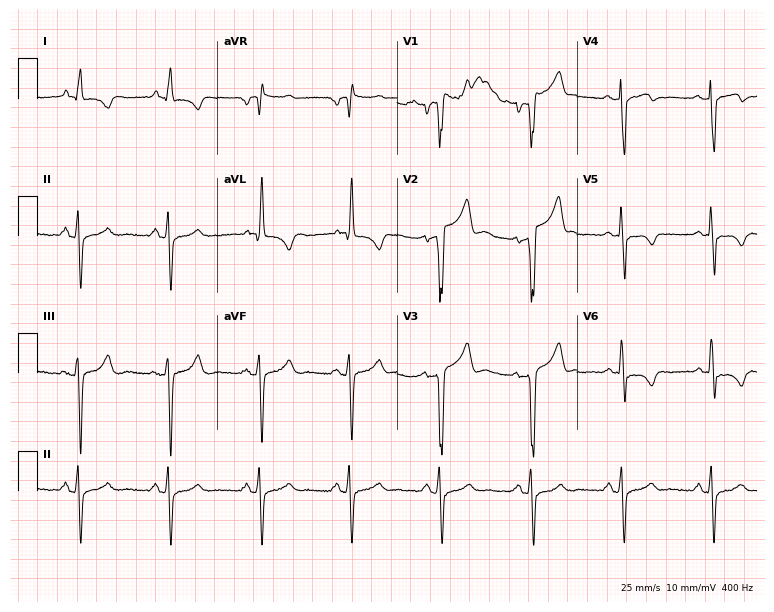
Standard 12-lead ECG recorded from a male patient, 59 years old. None of these six findings is recorded: first-degree AV block, right bundle branch block, left bundle branch block, sinus bradycardia, atrial fibrillation, sinus tachycardia. Only these six findings were labelled.